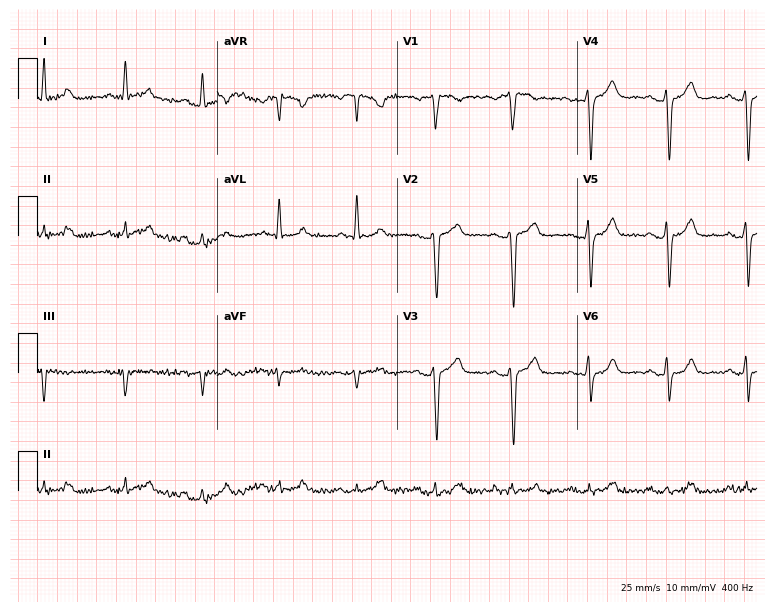
Standard 12-lead ECG recorded from a male patient, 52 years old (7.3-second recording at 400 Hz). None of these six findings is recorded: first-degree AV block, right bundle branch block (RBBB), left bundle branch block (LBBB), sinus bradycardia, atrial fibrillation (AF), sinus tachycardia. Only these six findings were labelled.